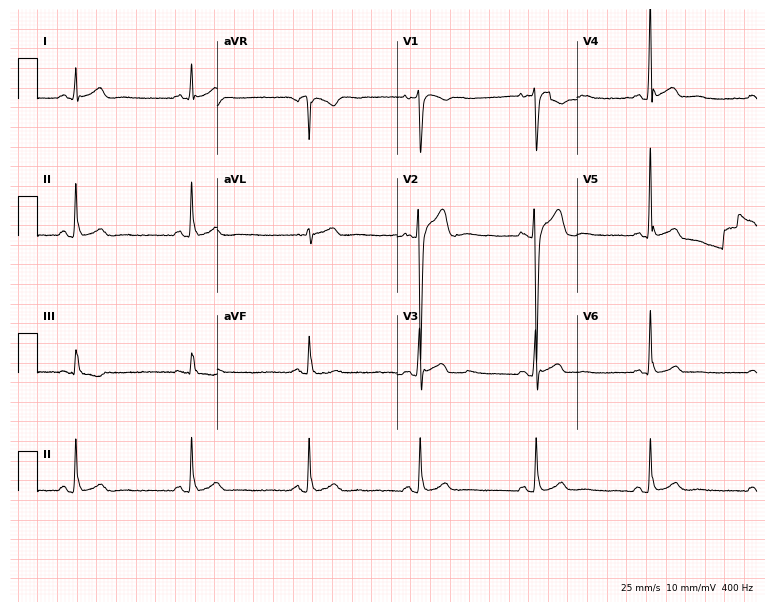
Standard 12-lead ECG recorded from a man, 21 years old. None of these six findings is recorded: first-degree AV block, right bundle branch block (RBBB), left bundle branch block (LBBB), sinus bradycardia, atrial fibrillation (AF), sinus tachycardia.